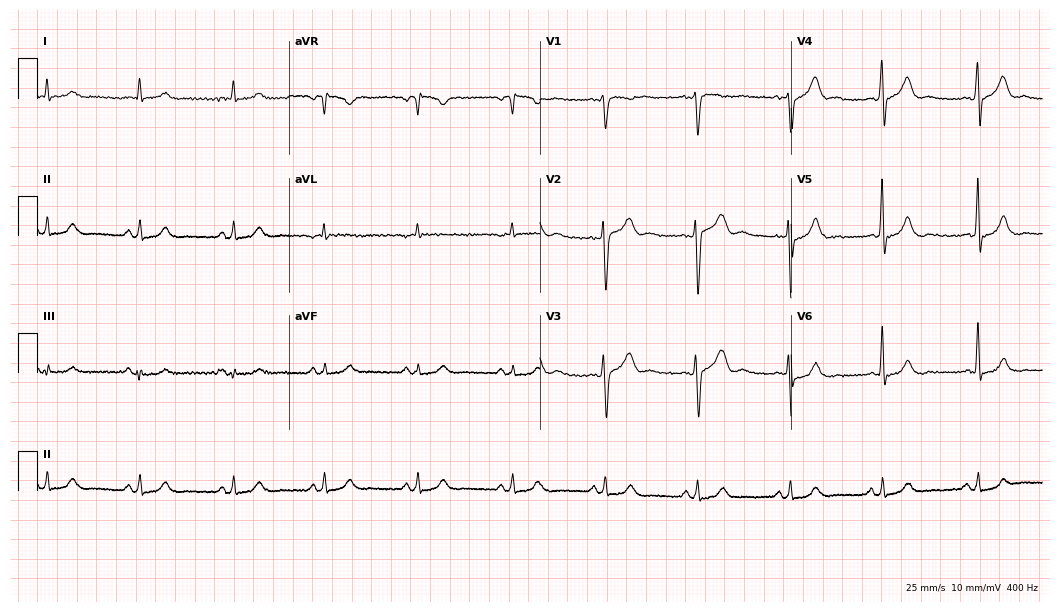
Standard 12-lead ECG recorded from a man, 57 years old. Read as a normal ECG.